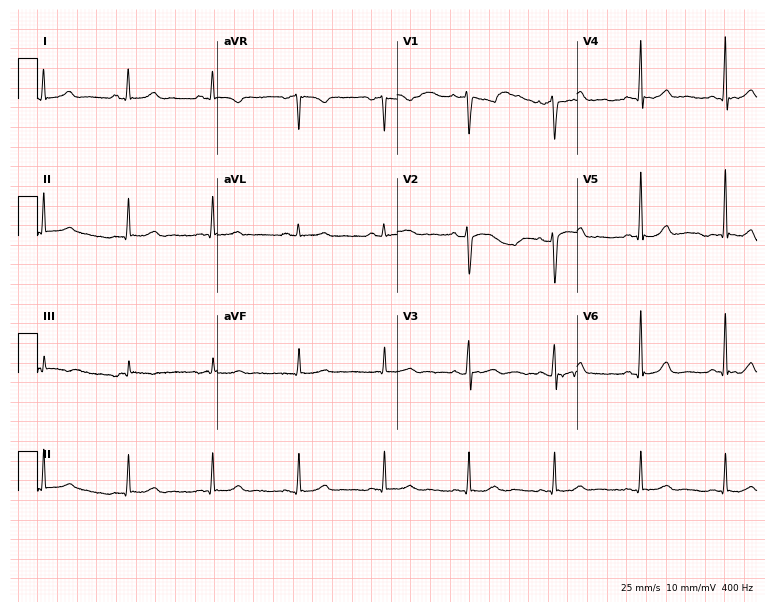
12-lead ECG from a female, 35 years old. No first-degree AV block, right bundle branch block, left bundle branch block, sinus bradycardia, atrial fibrillation or sinus tachycardia recorded for this tracing. Other findings, if any, are not listed.